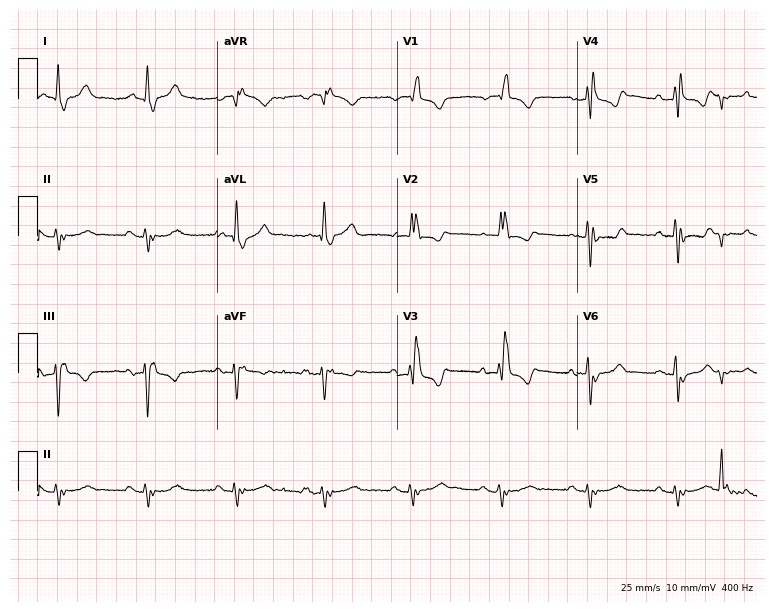
Electrocardiogram (7.3-second recording at 400 Hz), an 85-year-old man. Interpretation includes right bundle branch block.